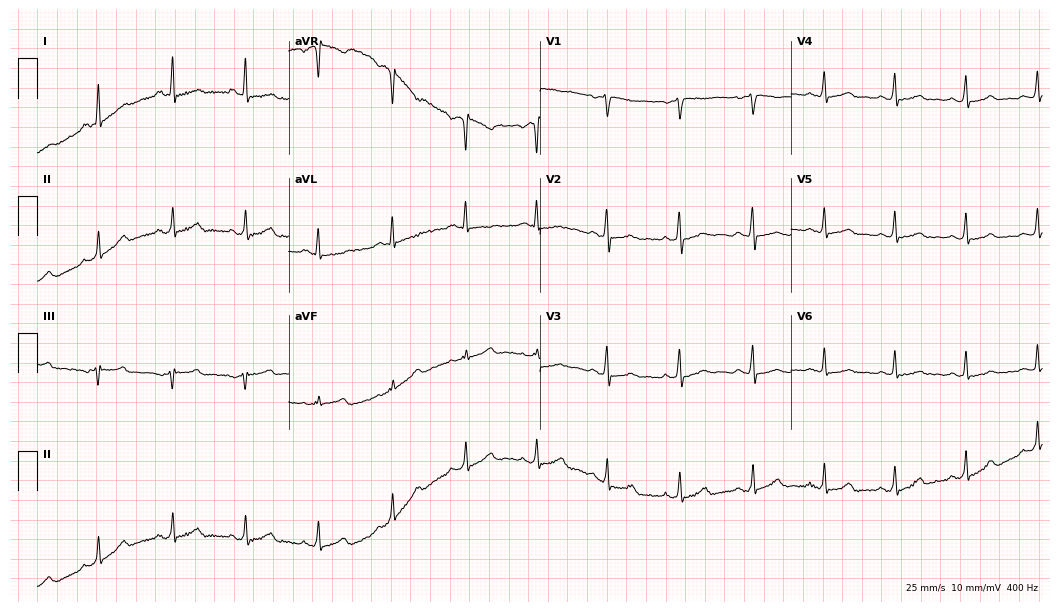
12-lead ECG from a 26-year-old female. Recorded interpretation: within normal limits.